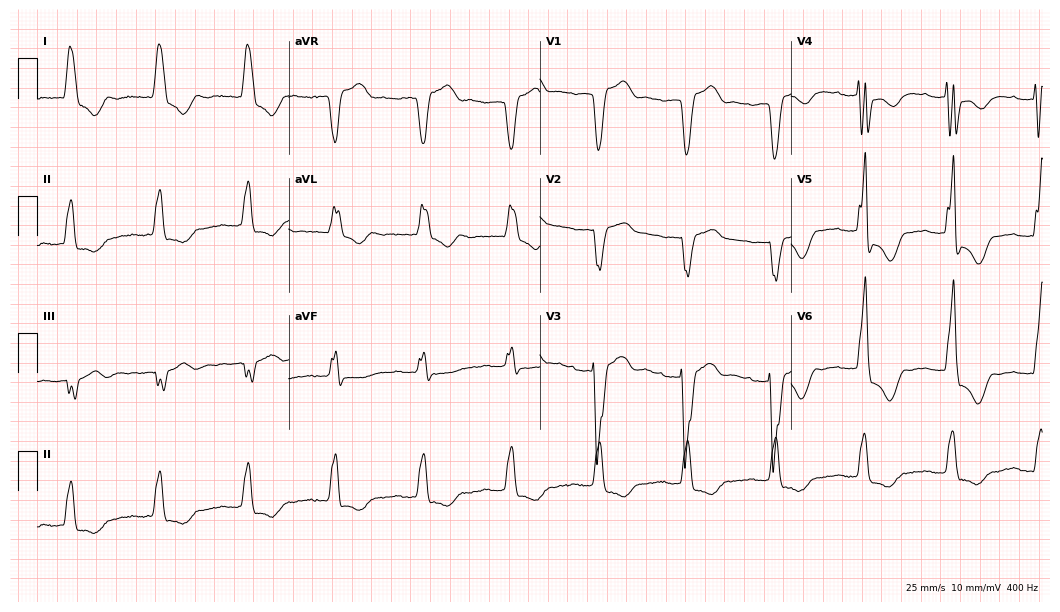
Standard 12-lead ECG recorded from a woman, 78 years old. The tracing shows first-degree AV block, left bundle branch block.